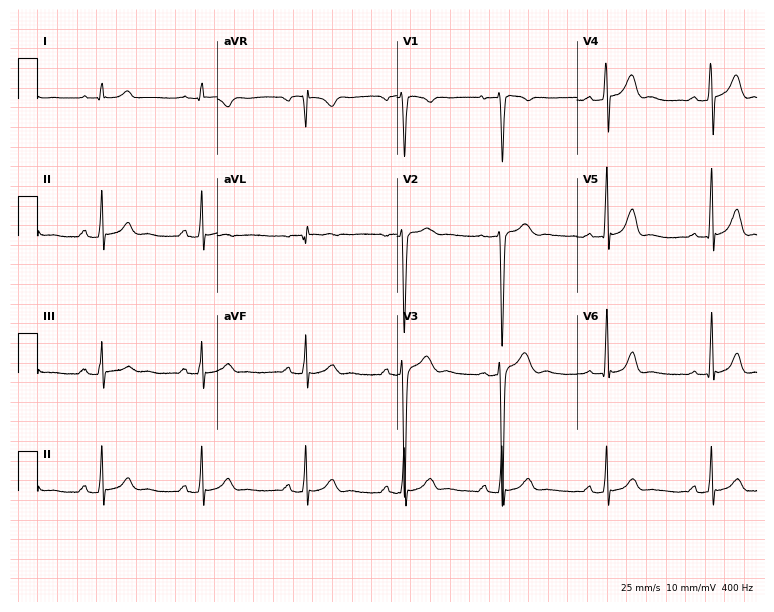
Resting 12-lead electrocardiogram. Patient: a male, 22 years old. Read as a normal ECG.